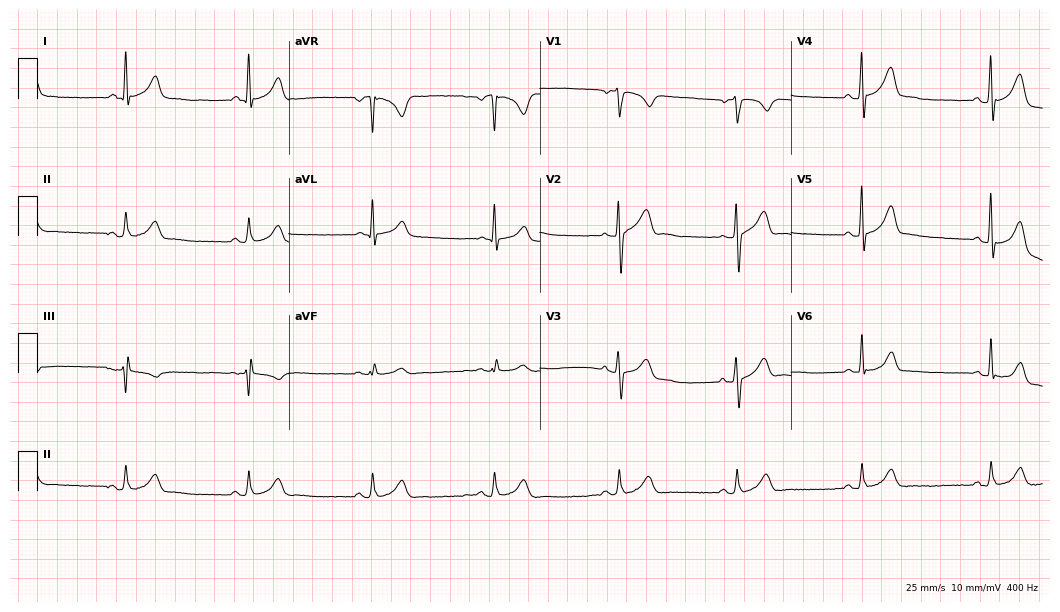
12-lead ECG from a male, 51 years old (10.2-second recording at 400 Hz). Recorded interpretation: within normal limits.